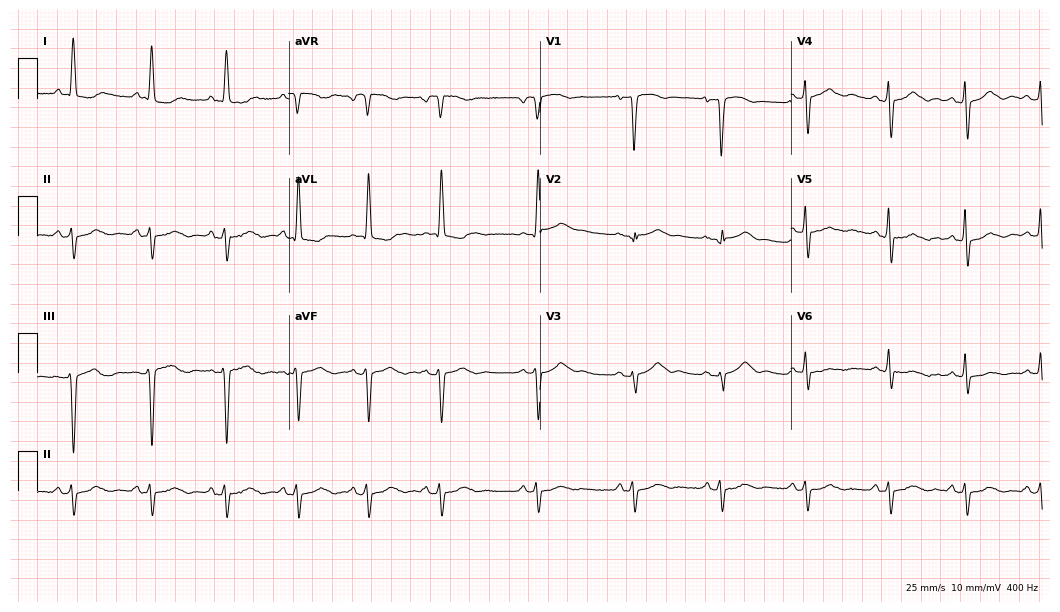
Resting 12-lead electrocardiogram (10.2-second recording at 400 Hz). Patient: a 71-year-old woman. None of these six findings is recorded: first-degree AV block, right bundle branch block, left bundle branch block, sinus bradycardia, atrial fibrillation, sinus tachycardia.